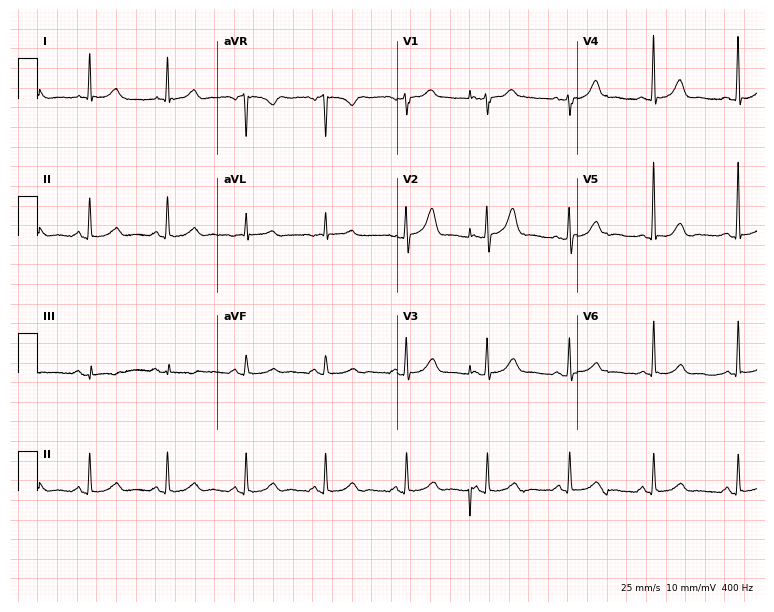
12-lead ECG from a female, 70 years old. No first-degree AV block, right bundle branch block, left bundle branch block, sinus bradycardia, atrial fibrillation or sinus tachycardia recorded for this tracing. Findings outside these six are not listed.